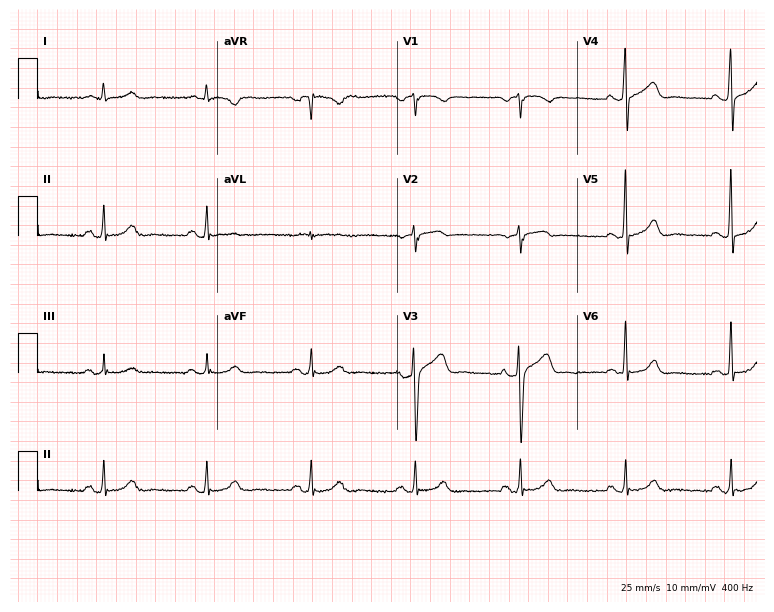
Standard 12-lead ECG recorded from a 63-year-old male (7.3-second recording at 400 Hz). Read as a normal ECG.